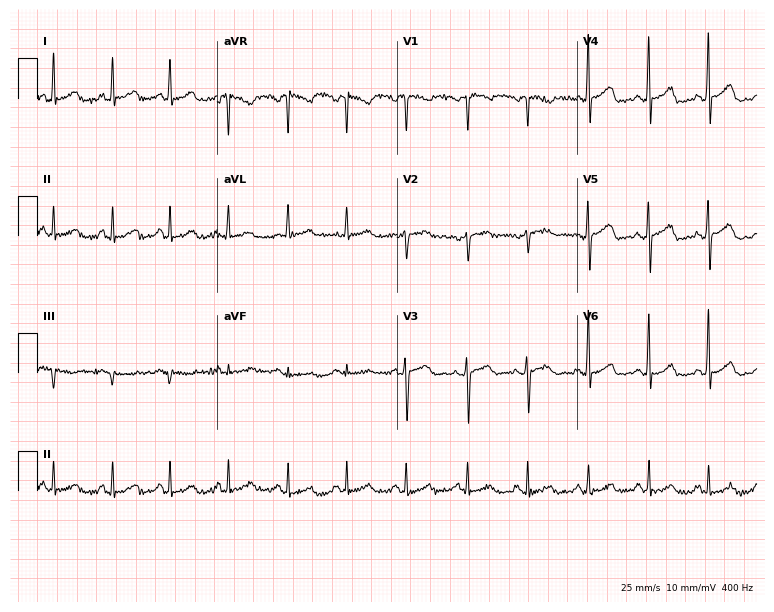
12-lead ECG (7.3-second recording at 400 Hz) from a 49-year-old female patient. Screened for six findings — first-degree AV block, right bundle branch block (RBBB), left bundle branch block (LBBB), sinus bradycardia, atrial fibrillation (AF), sinus tachycardia — none is recorded. Other findings, if any, are not listed.